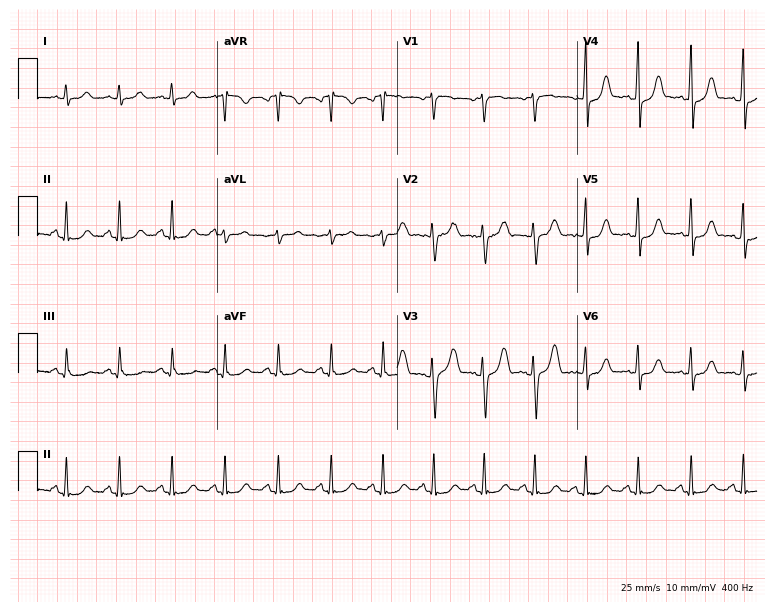
Standard 12-lead ECG recorded from a woman, 31 years old. The tracing shows sinus tachycardia (a sinus rate of 100 beats per minute or more).